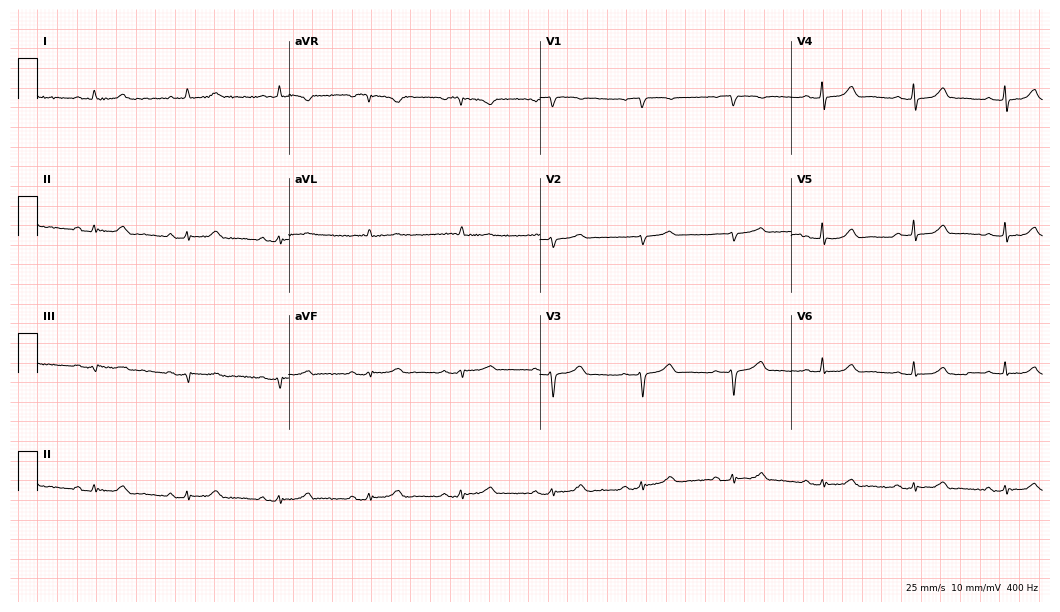
12-lead ECG from a woman, 82 years old. Labelled as a normal ECG.